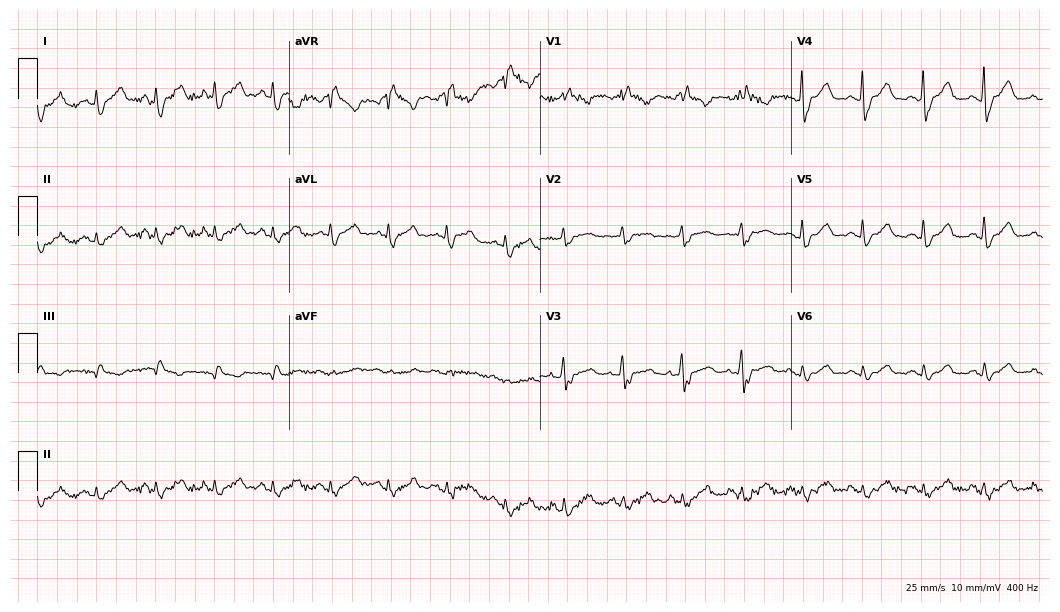
Resting 12-lead electrocardiogram. Patient: a woman, 65 years old. The tracing shows right bundle branch block.